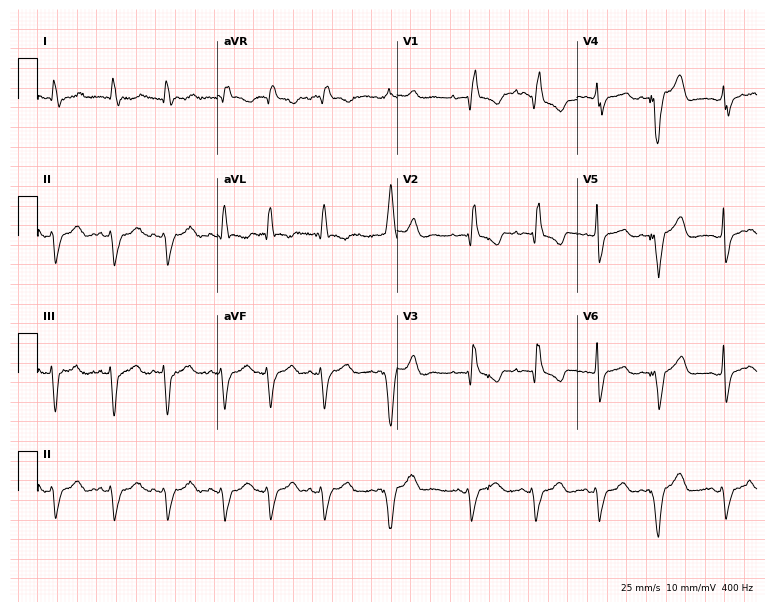
12-lead ECG from a woman, 72 years old (7.3-second recording at 400 Hz). Shows right bundle branch block.